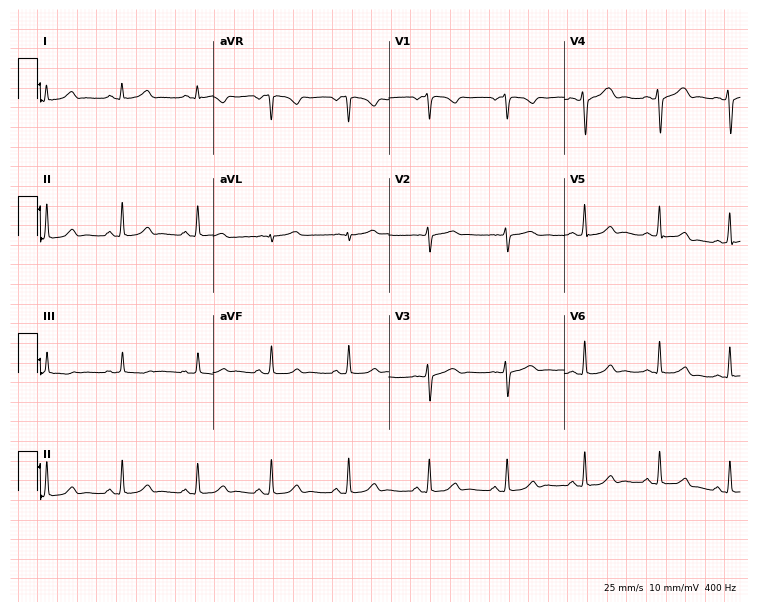
ECG — a 19-year-old female patient. Screened for six findings — first-degree AV block, right bundle branch block, left bundle branch block, sinus bradycardia, atrial fibrillation, sinus tachycardia — none is recorded. Other findings, if any, are not listed.